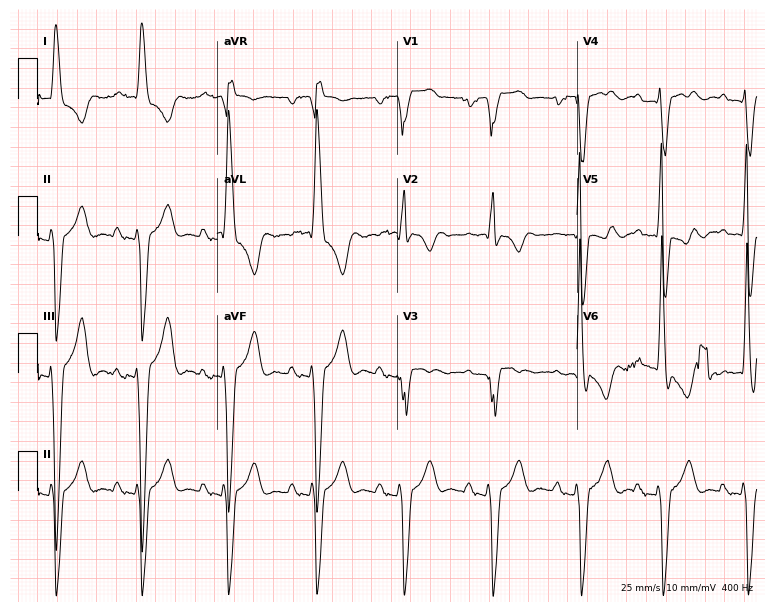
Standard 12-lead ECG recorded from an 83-year-old male (7.3-second recording at 400 Hz). The tracing shows first-degree AV block, left bundle branch block.